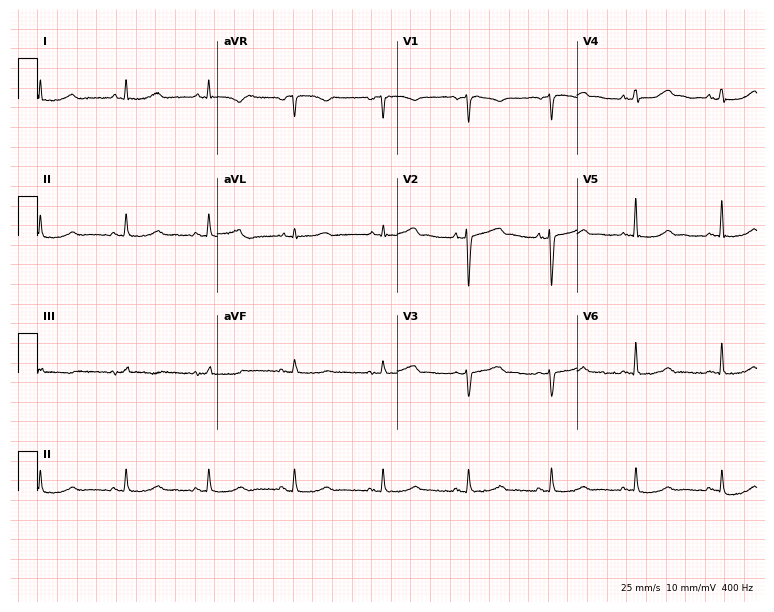
Resting 12-lead electrocardiogram. Patient: a woman, 58 years old. None of these six findings is recorded: first-degree AV block, right bundle branch block, left bundle branch block, sinus bradycardia, atrial fibrillation, sinus tachycardia. Other findings, if any, are not listed.